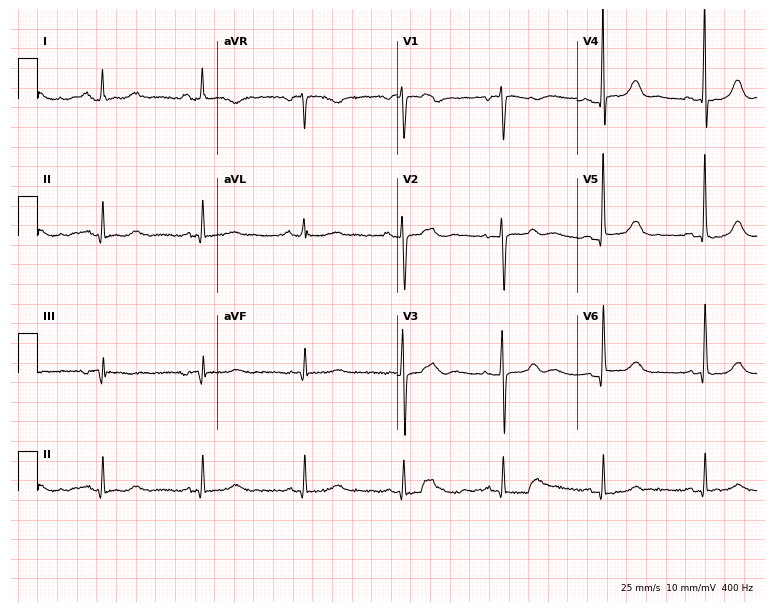
Electrocardiogram, a man, 75 years old. Overall reading on record: normal ECG.